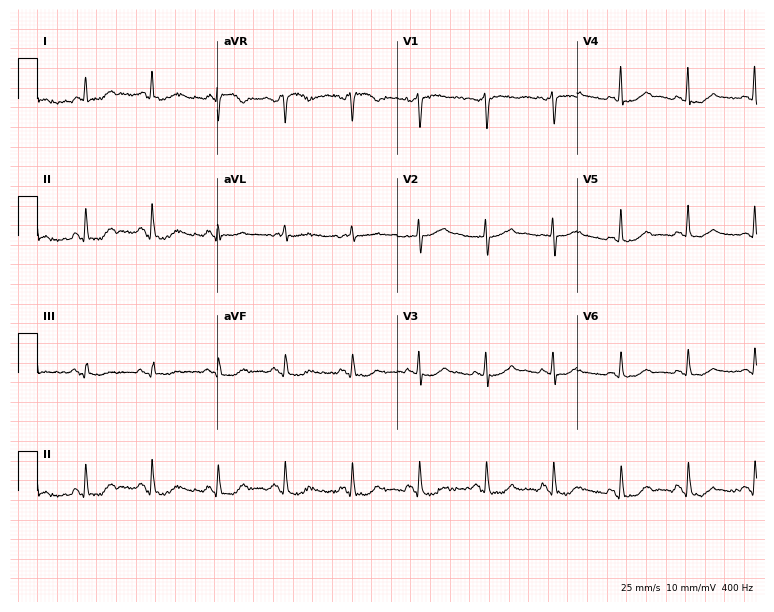
12-lead ECG (7.3-second recording at 400 Hz) from a 73-year-old woman. Screened for six findings — first-degree AV block, right bundle branch block, left bundle branch block, sinus bradycardia, atrial fibrillation, sinus tachycardia — none is recorded.